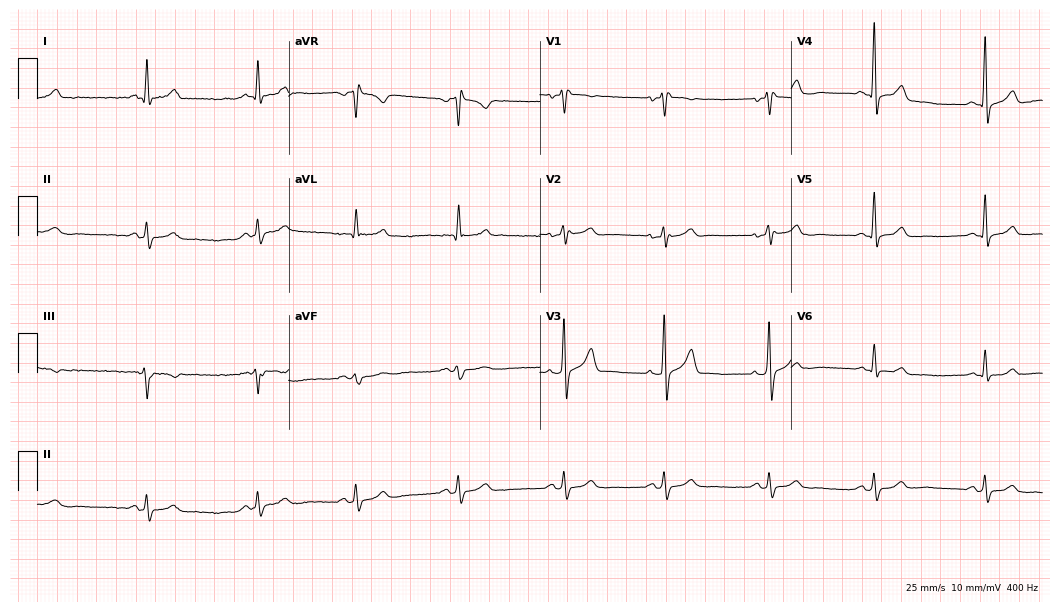
12-lead ECG (10.2-second recording at 400 Hz) from a 58-year-old male patient. Screened for six findings — first-degree AV block, right bundle branch block, left bundle branch block, sinus bradycardia, atrial fibrillation, sinus tachycardia — none is recorded.